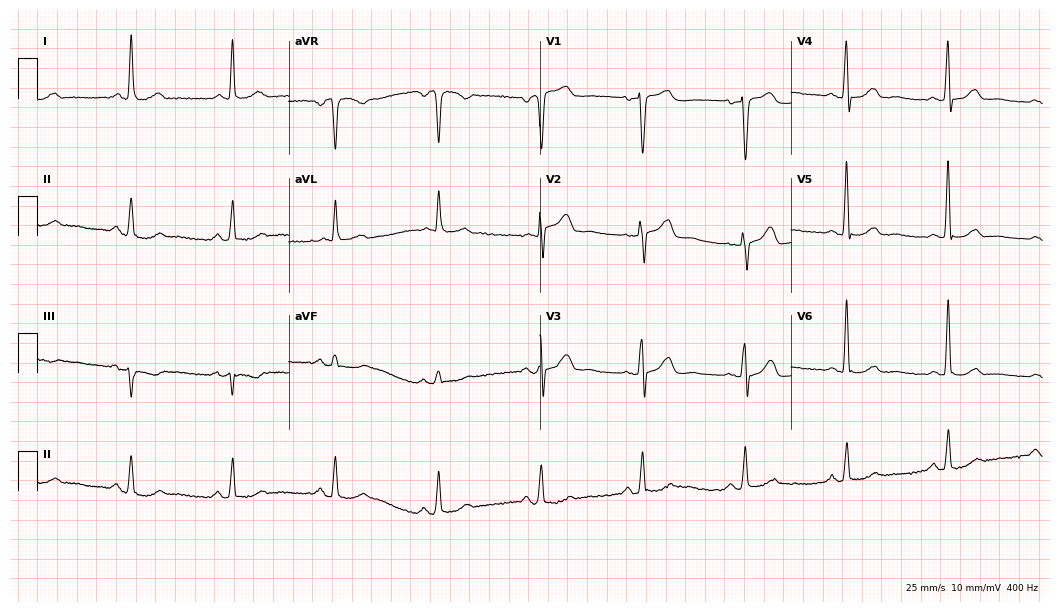
12-lead ECG from a 77-year-old woman. No first-degree AV block, right bundle branch block, left bundle branch block, sinus bradycardia, atrial fibrillation or sinus tachycardia recorded for this tracing. Only these six findings were labelled.